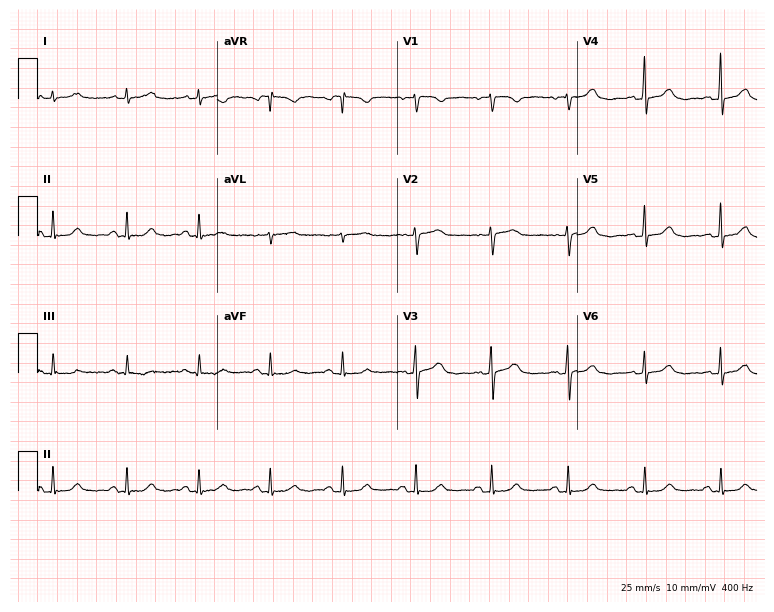
Resting 12-lead electrocardiogram. Patient: a female, 57 years old. Read as a normal ECG.